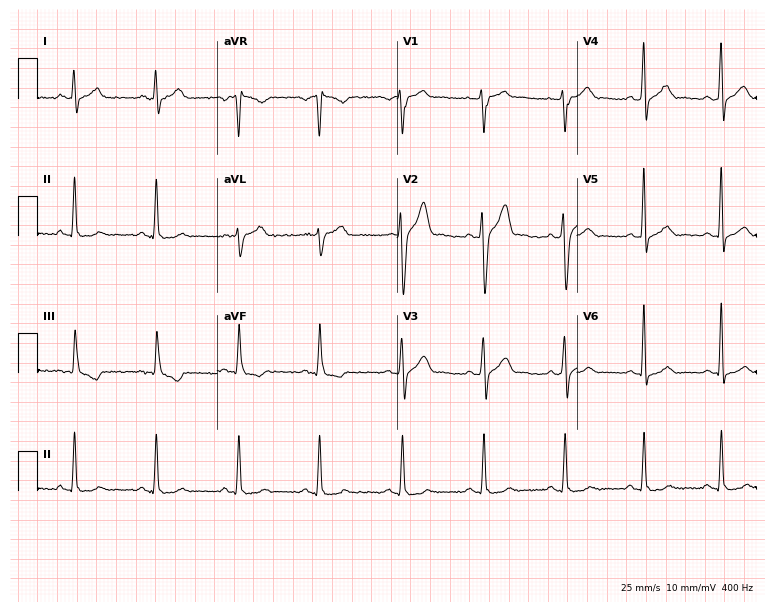
ECG (7.3-second recording at 400 Hz) — a male patient, 36 years old. Screened for six findings — first-degree AV block, right bundle branch block (RBBB), left bundle branch block (LBBB), sinus bradycardia, atrial fibrillation (AF), sinus tachycardia — none is recorded. Only these six findings were labelled.